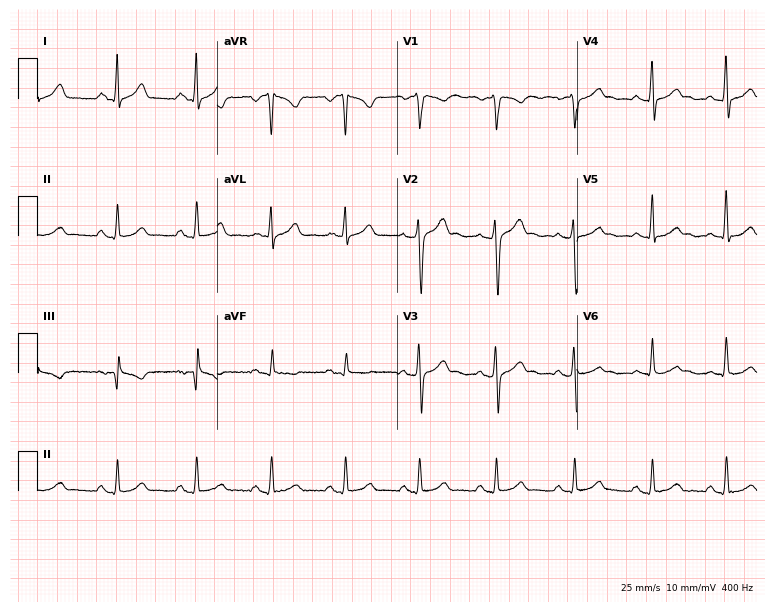
12-lead ECG from a 30-year-old male patient (7.3-second recording at 400 Hz). Recorded interpretation: within normal limits.